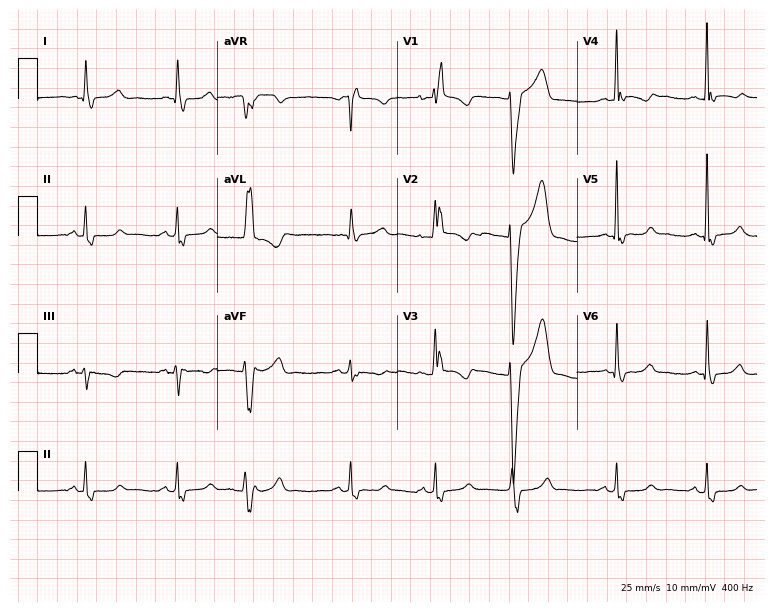
Standard 12-lead ECG recorded from a 60-year-old female (7.3-second recording at 400 Hz). The tracing shows right bundle branch block (RBBB).